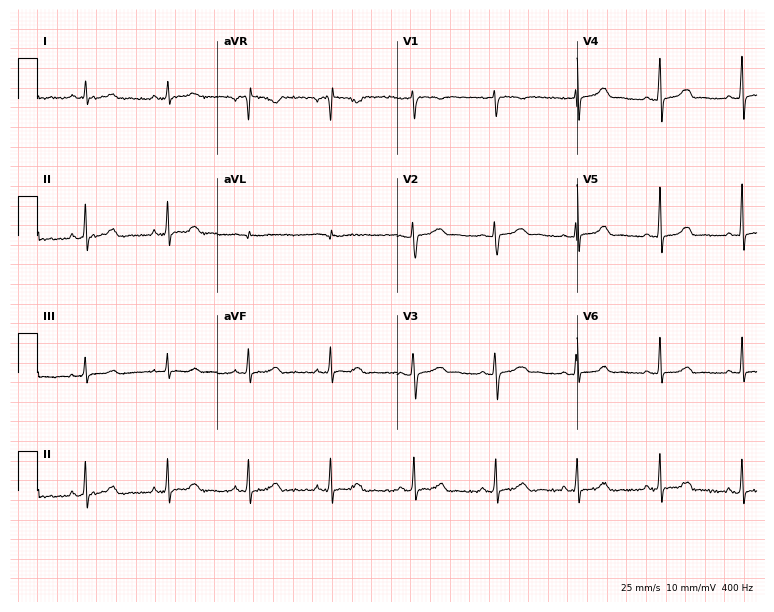
Standard 12-lead ECG recorded from a female, 46 years old (7.3-second recording at 400 Hz). Read as a normal ECG.